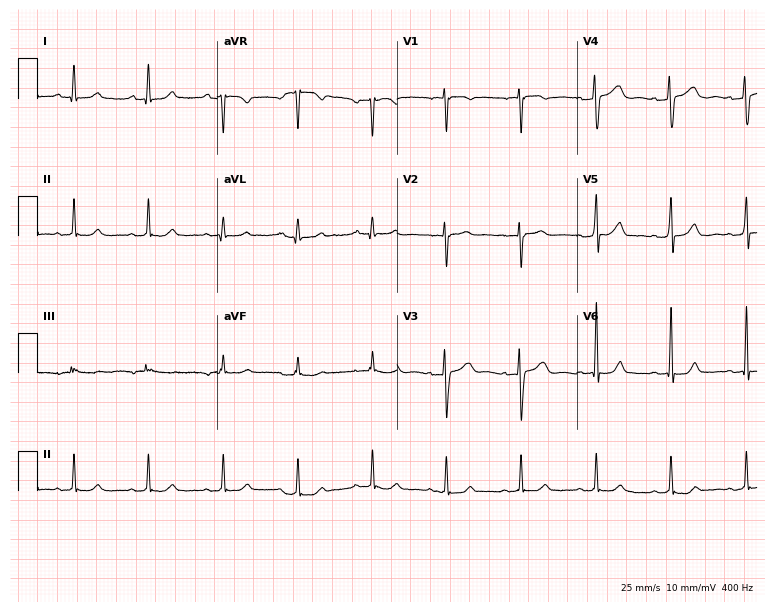
Resting 12-lead electrocardiogram (7.3-second recording at 400 Hz). Patient: a woman, 54 years old. Read as a normal ECG.